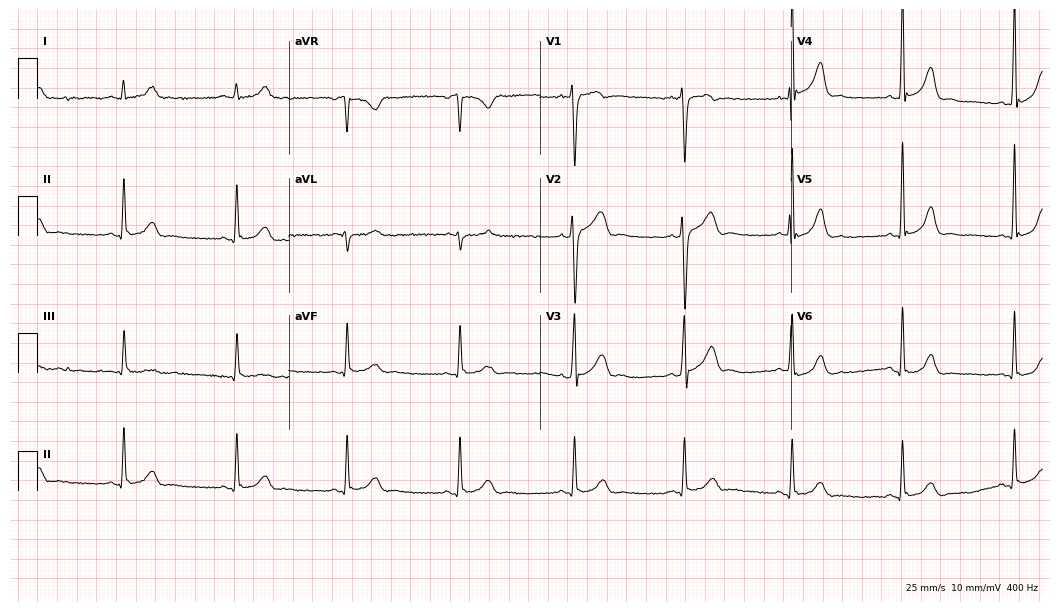
Electrocardiogram, a male, 31 years old. Overall reading on record: normal ECG.